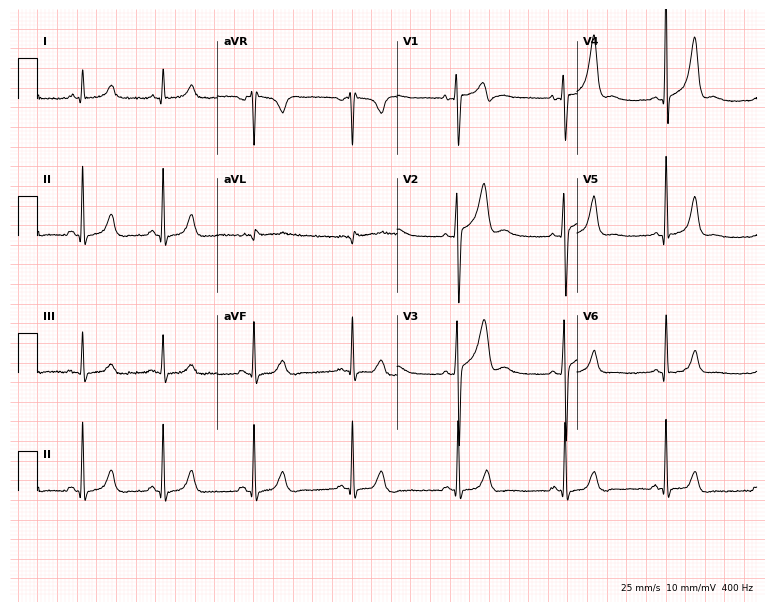
12-lead ECG from a male, 39 years old. No first-degree AV block, right bundle branch block (RBBB), left bundle branch block (LBBB), sinus bradycardia, atrial fibrillation (AF) or sinus tachycardia recorded for this tracing.